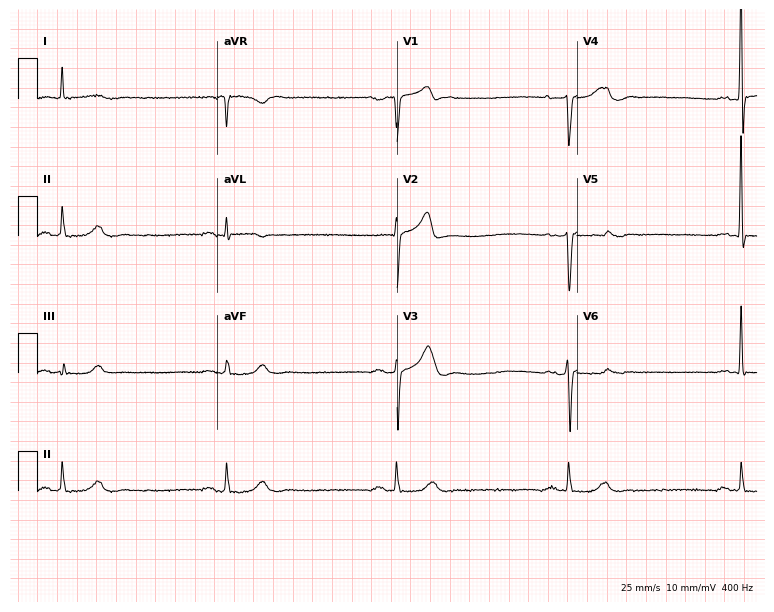
Resting 12-lead electrocardiogram. Patient: a male, 76 years old. None of these six findings is recorded: first-degree AV block, right bundle branch block, left bundle branch block, sinus bradycardia, atrial fibrillation, sinus tachycardia.